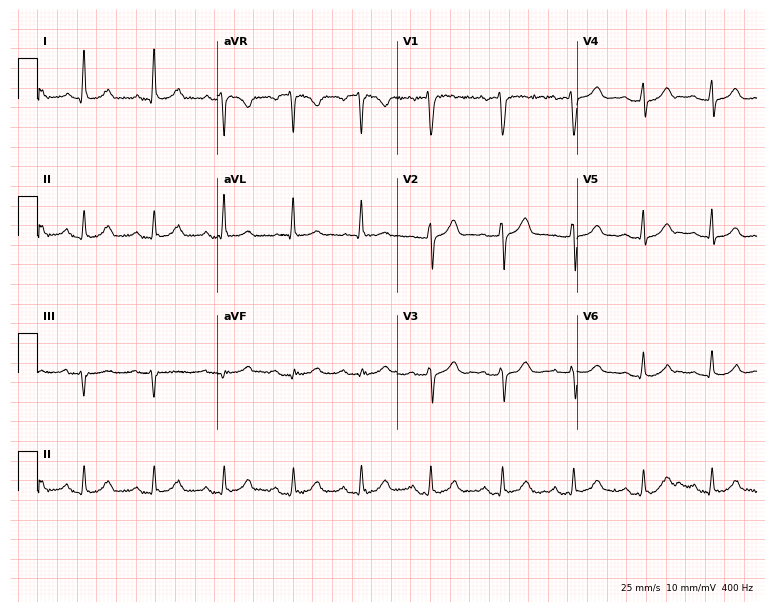
ECG — a female, 49 years old. Labelled as a normal ECG.